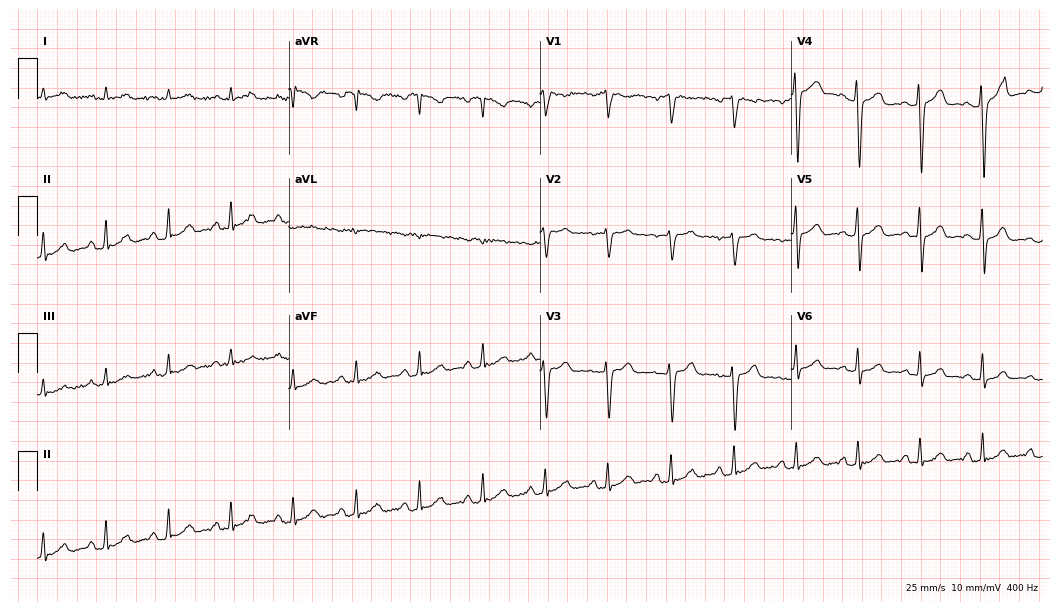
Resting 12-lead electrocardiogram (10.2-second recording at 400 Hz). Patient: a man, 49 years old. Read as a normal ECG.